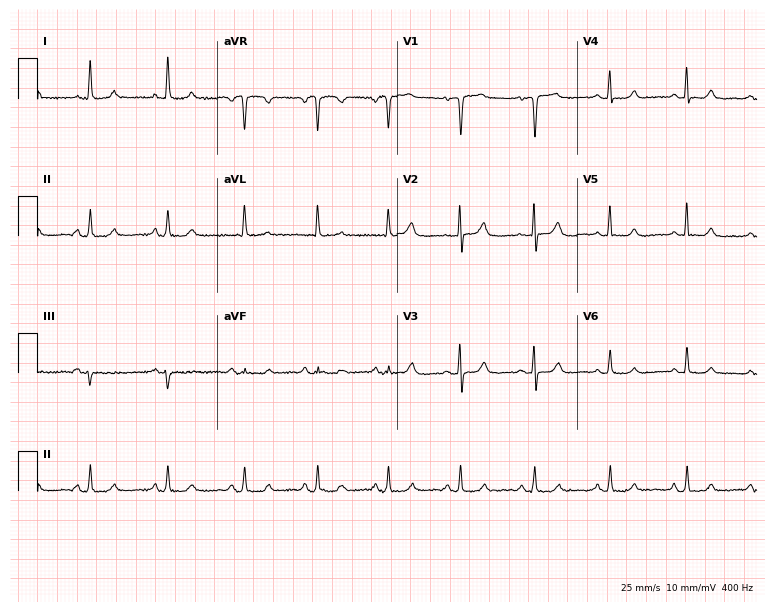
12-lead ECG (7.3-second recording at 400 Hz) from a female patient, 56 years old. Labelled as a normal ECG.